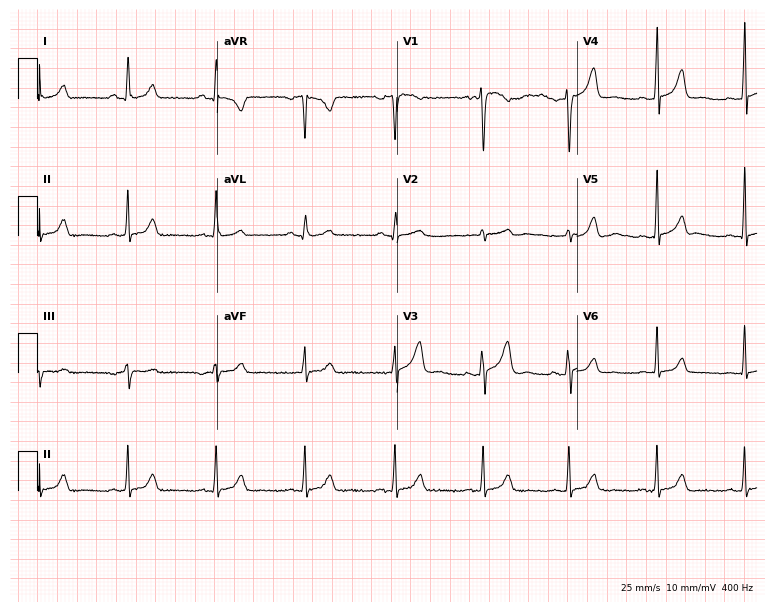
Electrocardiogram (7.3-second recording at 400 Hz), a 37-year-old female. Overall reading on record: normal ECG.